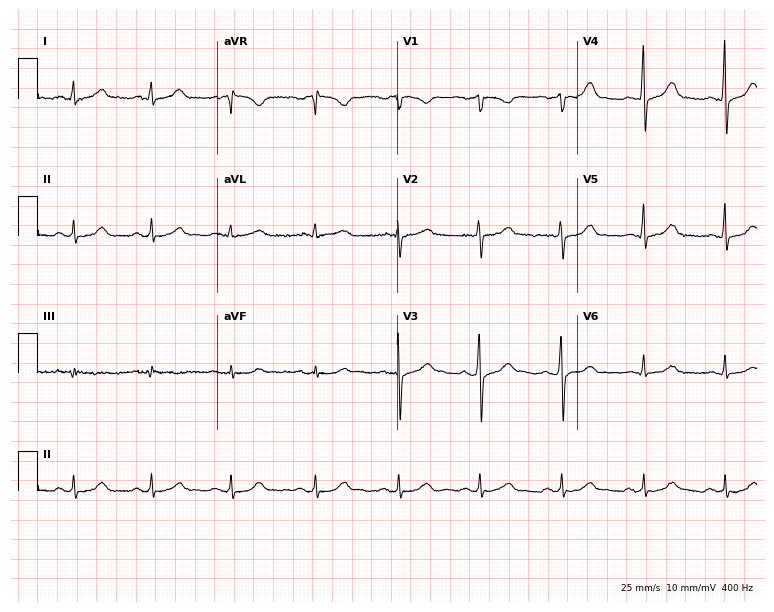
Resting 12-lead electrocardiogram. Patient: a 47-year-old man. Read as a normal ECG.